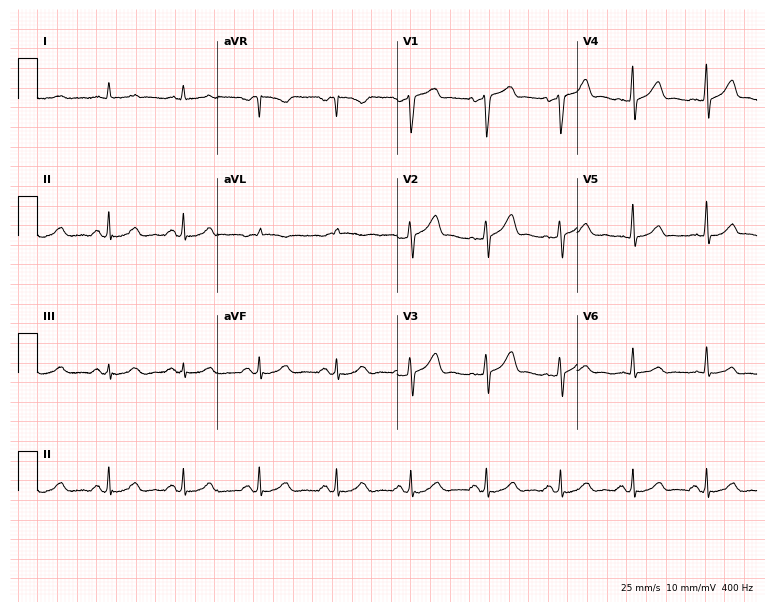
12-lead ECG from a 54-year-old man (7.3-second recording at 400 Hz). No first-degree AV block, right bundle branch block (RBBB), left bundle branch block (LBBB), sinus bradycardia, atrial fibrillation (AF) or sinus tachycardia recorded for this tracing.